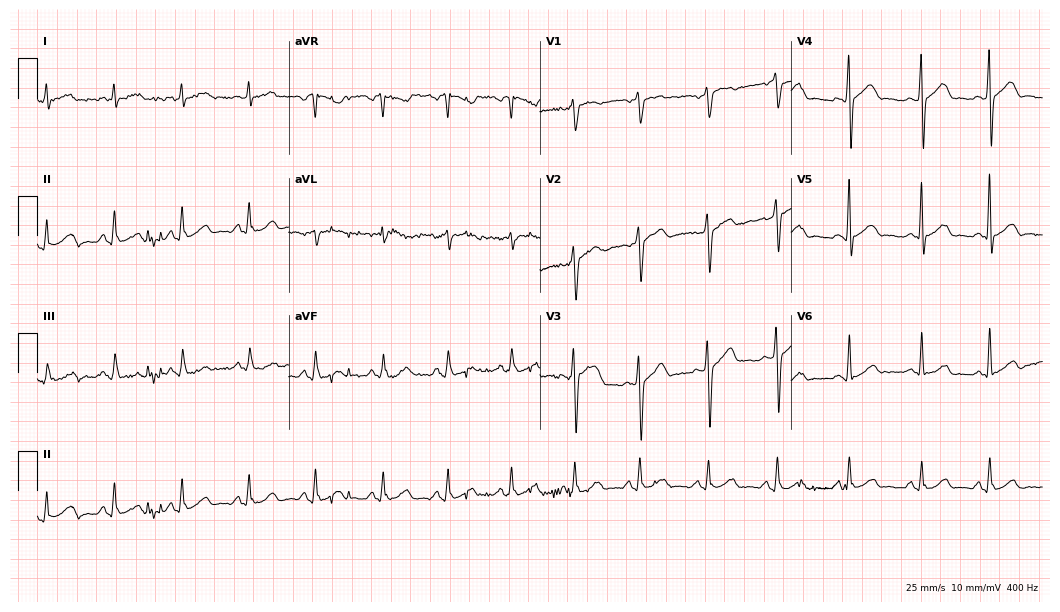
Electrocardiogram (10.2-second recording at 400 Hz), a man, 69 years old. Overall reading on record: normal ECG.